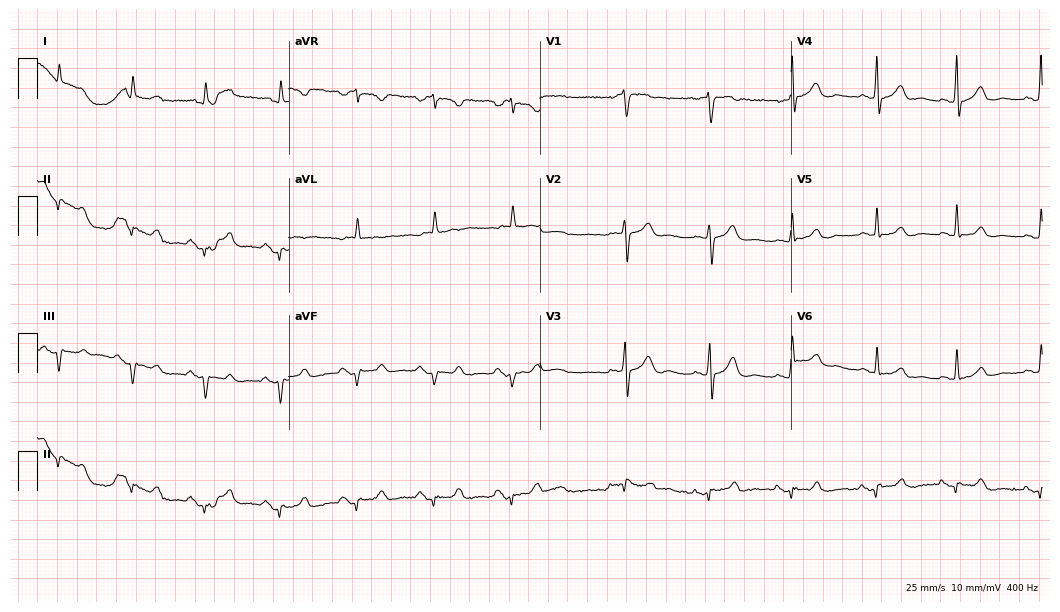
Resting 12-lead electrocardiogram (10.2-second recording at 400 Hz). Patient: a 69-year-old male. None of these six findings is recorded: first-degree AV block, right bundle branch block (RBBB), left bundle branch block (LBBB), sinus bradycardia, atrial fibrillation (AF), sinus tachycardia. Findings outside these six are not listed.